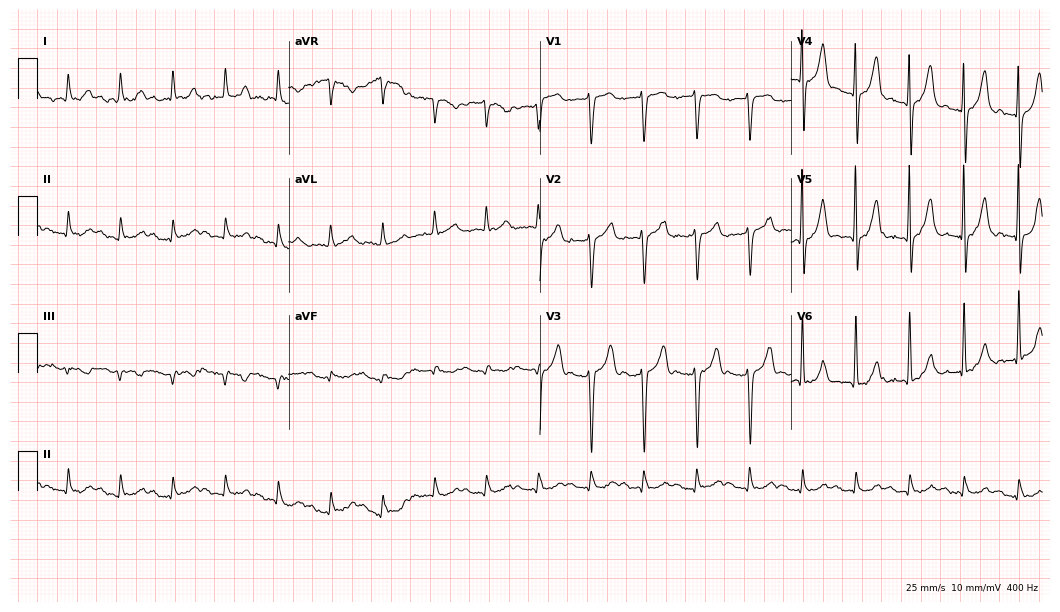
12-lead ECG from a 33-year-old man (10.2-second recording at 400 Hz). Shows sinus tachycardia (a sinus rate of 100 beats per minute or more).